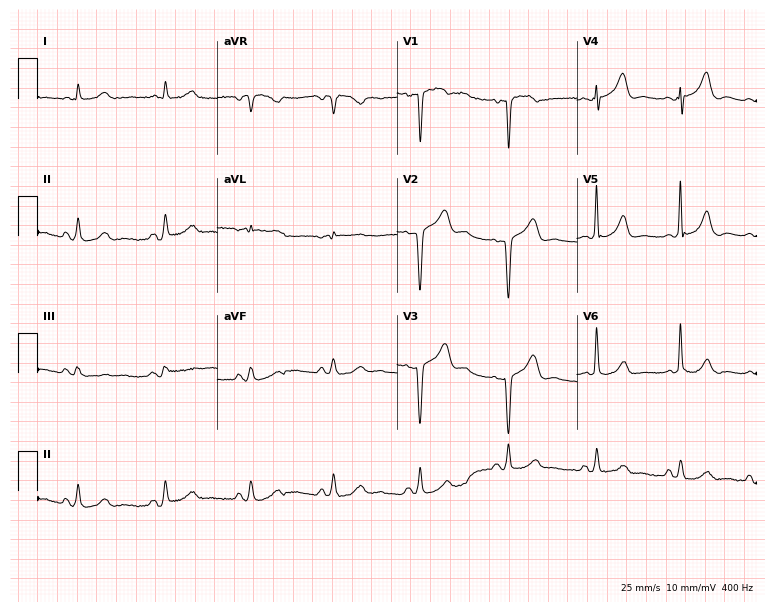
Electrocardiogram, a man, 81 years old. Of the six screened findings (first-degree AV block, right bundle branch block (RBBB), left bundle branch block (LBBB), sinus bradycardia, atrial fibrillation (AF), sinus tachycardia), none is recorded.